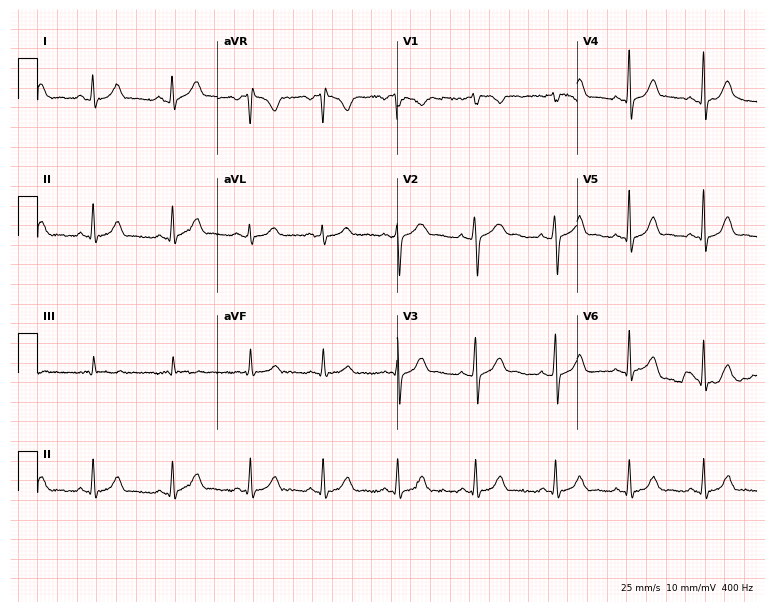
Electrocardiogram, a female patient, 24 years old. Overall reading on record: normal ECG.